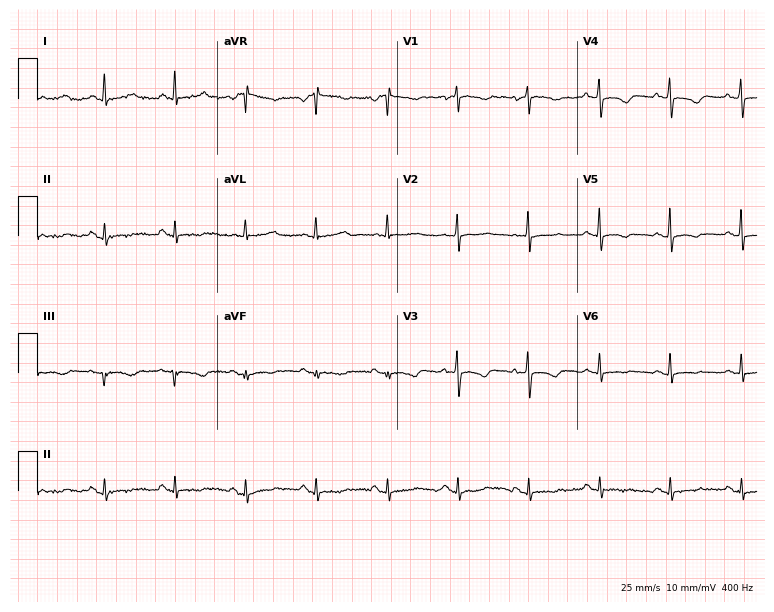
ECG (7.3-second recording at 400 Hz) — a 49-year-old woman. Screened for six findings — first-degree AV block, right bundle branch block, left bundle branch block, sinus bradycardia, atrial fibrillation, sinus tachycardia — none is recorded.